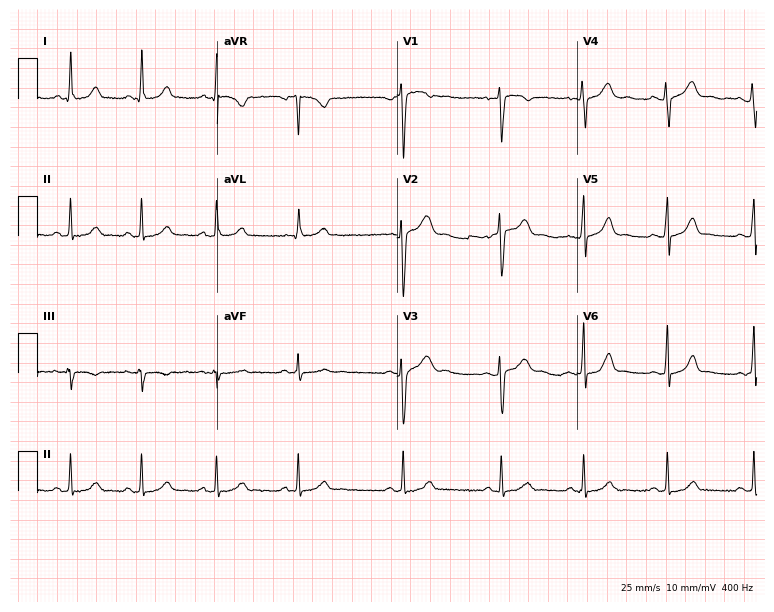
ECG (7.3-second recording at 400 Hz) — a 20-year-old female. Labelled as a normal ECG.